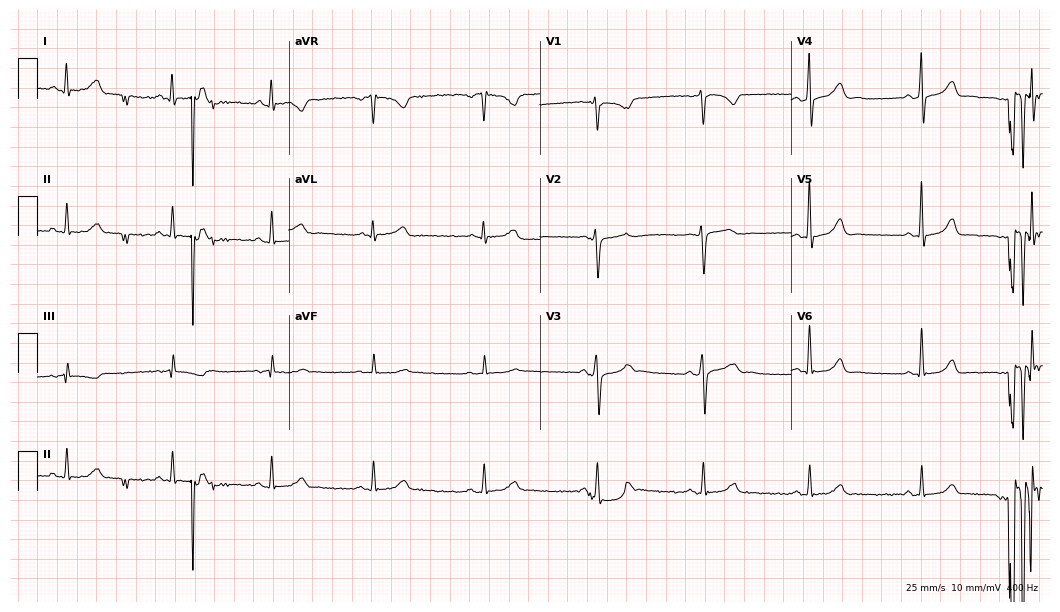
ECG (10.2-second recording at 400 Hz) — a male patient, 34 years old. Labelled as a normal ECG.